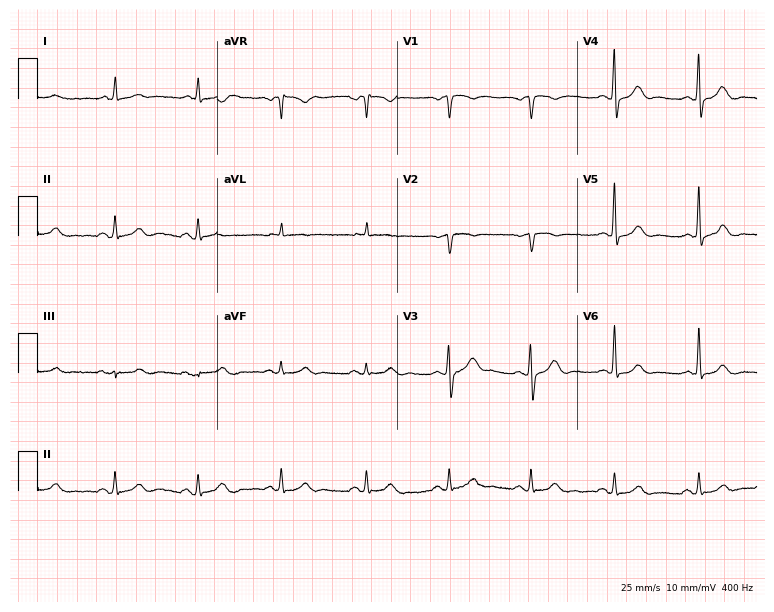
Standard 12-lead ECG recorded from a man, 61 years old (7.3-second recording at 400 Hz). Read as a normal ECG.